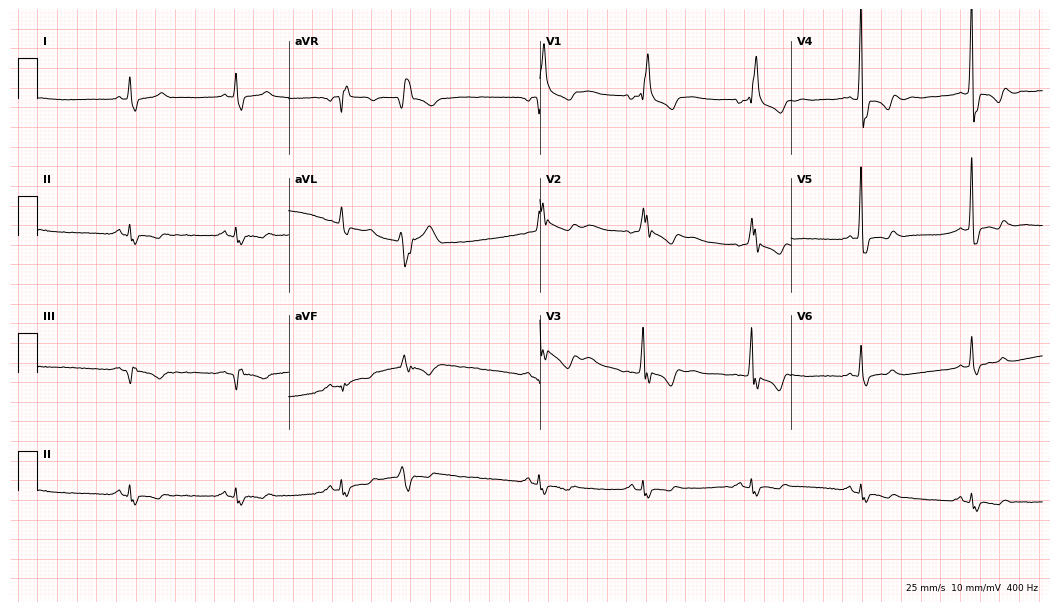
ECG — a 59-year-old male. Findings include right bundle branch block (RBBB).